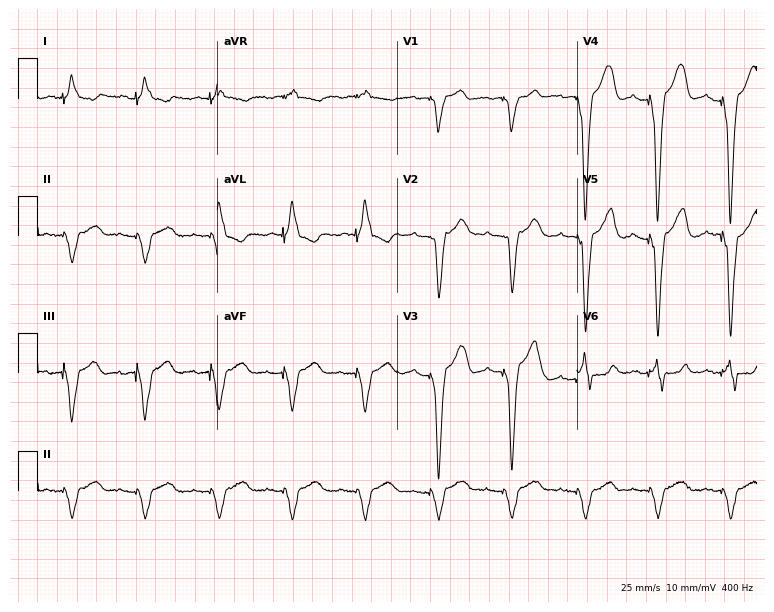
Standard 12-lead ECG recorded from a man, 82 years old. None of these six findings is recorded: first-degree AV block, right bundle branch block (RBBB), left bundle branch block (LBBB), sinus bradycardia, atrial fibrillation (AF), sinus tachycardia.